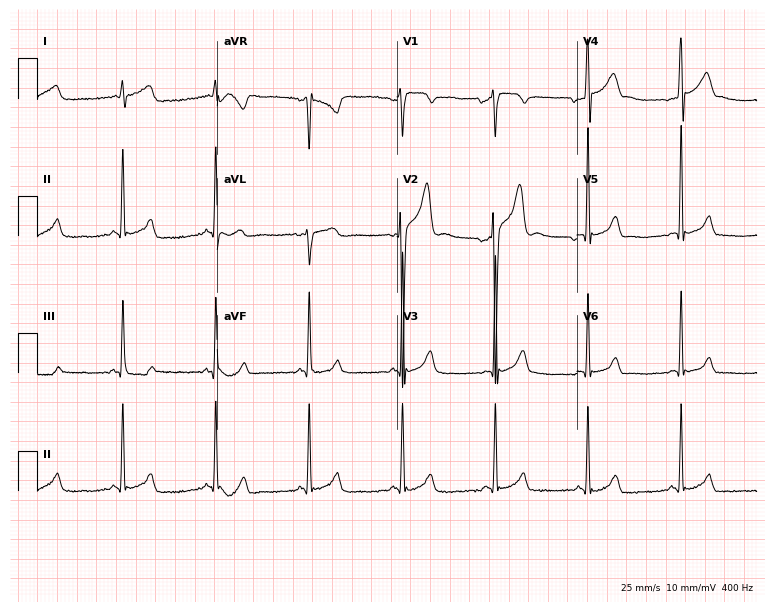
Resting 12-lead electrocardiogram. Patient: a man, 19 years old. Read as a normal ECG.